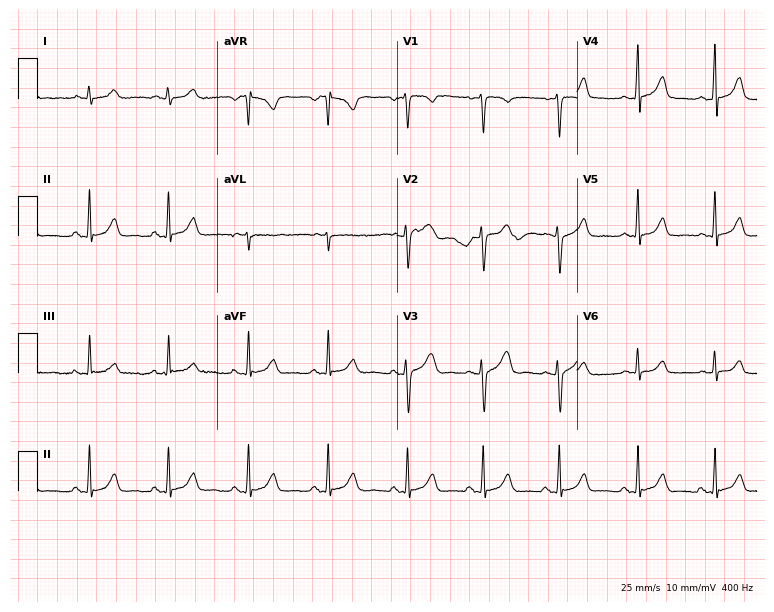
12-lead ECG from a female, 32 years old. Recorded interpretation: within normal limits.